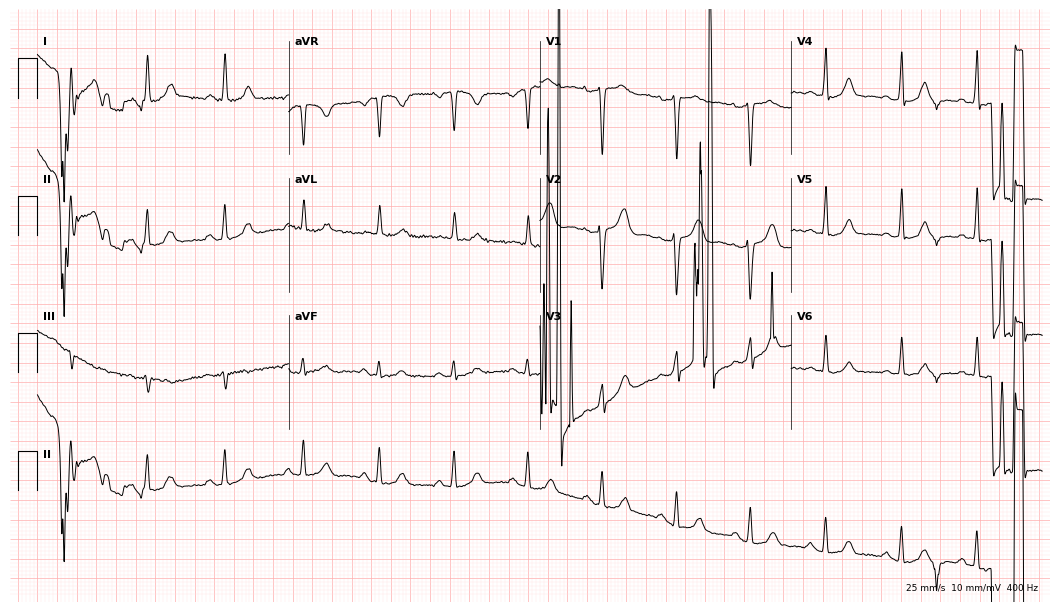
12-lead ECG from a 50-year-old female. No first-degree AV block, right bundle branch block, left bundle branch block, sinus bradycardia, atrial fibrillation or sinus tachycardia recorded for this tracing. Other findings, if any, are not listed.